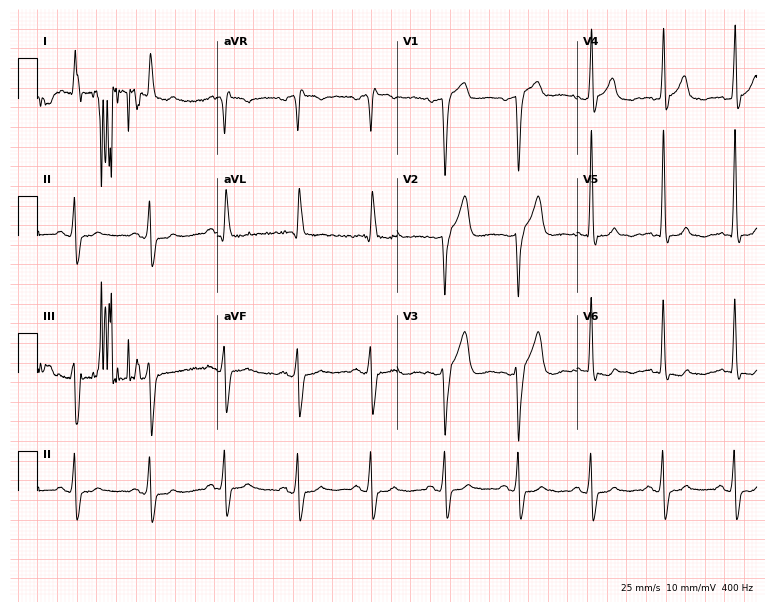
ECG (7.3-second recording at 400 Hz) — a 67-year-old male. Screened for six findings — first-degree AV block, right bundle branch block, left bundle branch block, sinus bradycardia, atrial fibrillation, sinus tachycardia — none is recorded. Only these six findings were labelled.